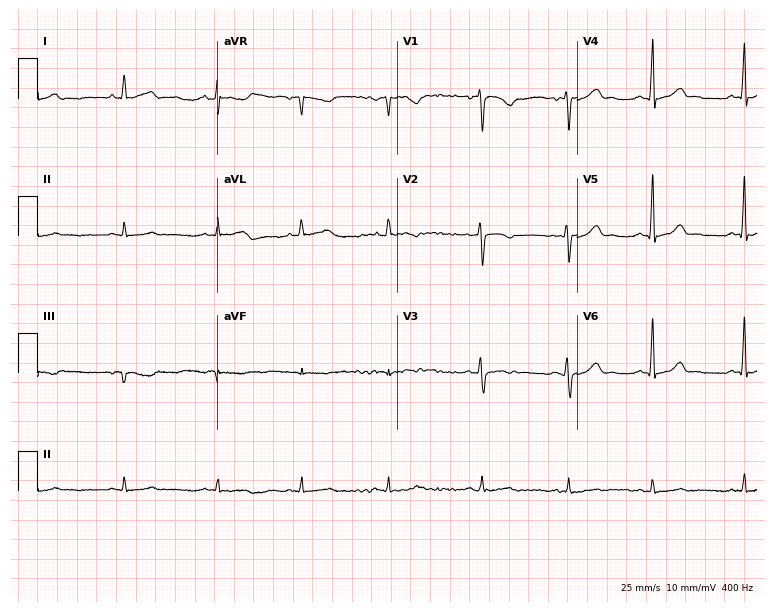
Electrocardiogram (7.3-second recording at 400 Hz), a 29-year-old woman. Of the six screened findings (first-degree AV block, right bundle branch block, left bundle branch block, sinus bradycardia, atrial fibrillation, sinus tachycardia), none is recorded. Other findings, if any, are not listed.